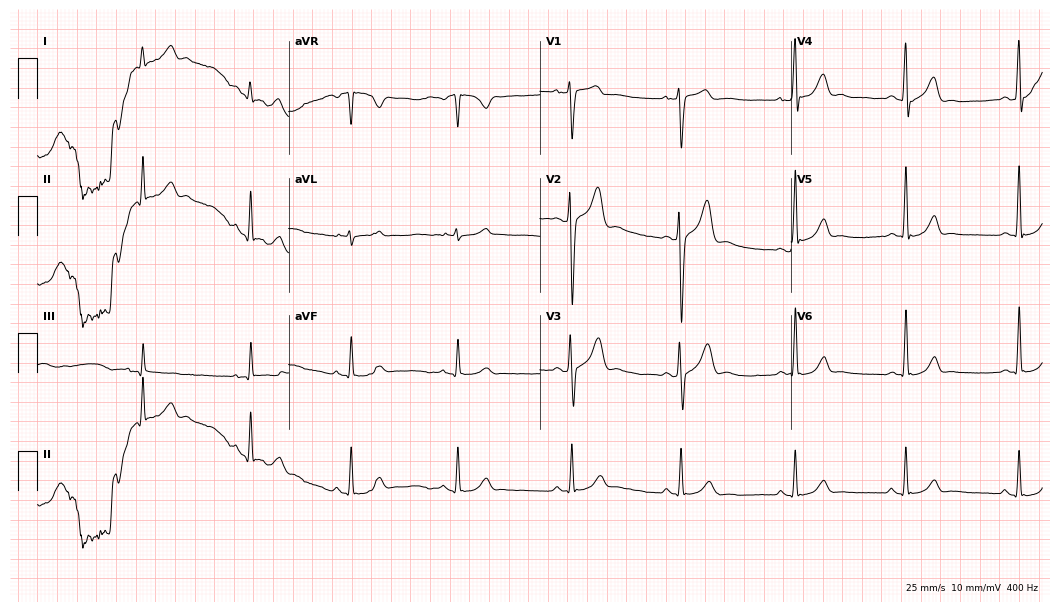
12-lead ECG from a male patient, 33 years old (10.2-second recording at 400 Hz). Recorded interpretation: within normal limits.